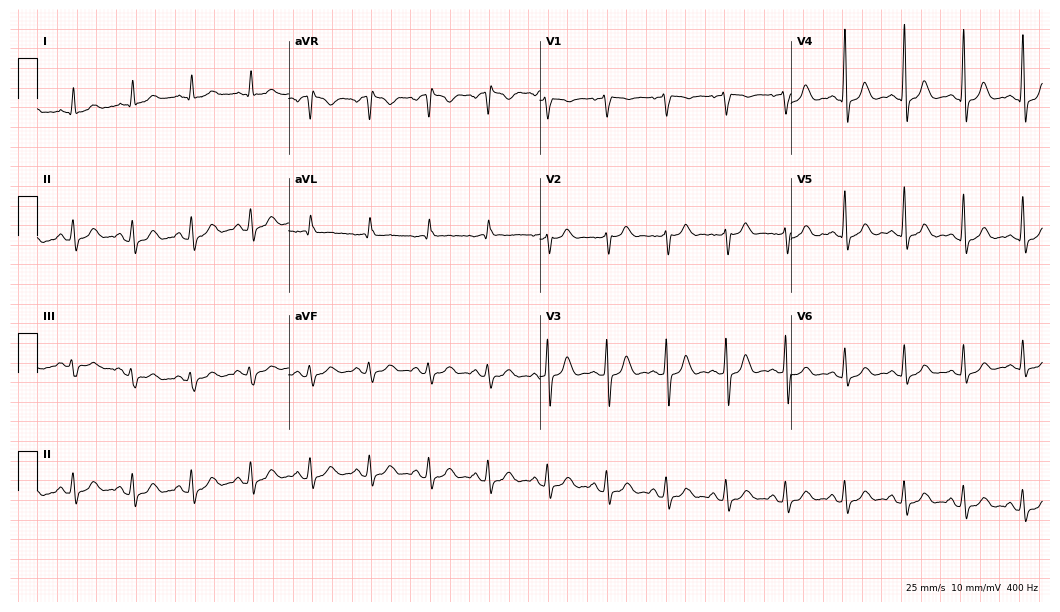
Electrocardiogram (10.2-second recording at 400 Hz), a male patient, 75 years old. Overall reading on record: normal ECG.